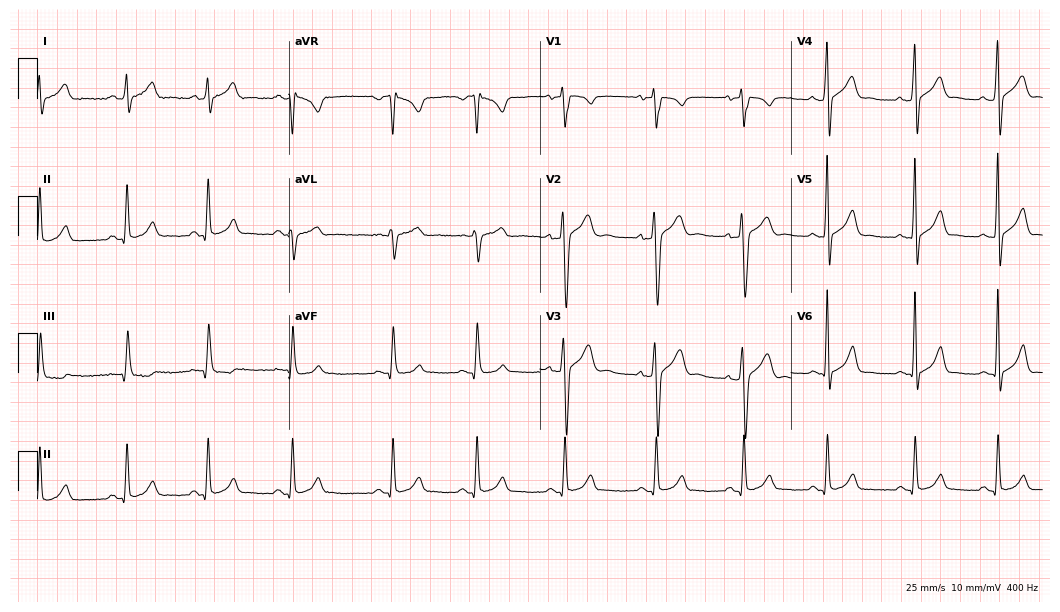
12-lead ECG from a male, 33 years old (10.2-second recording at 400 Hz). Recorded interpretation: within normal limits.